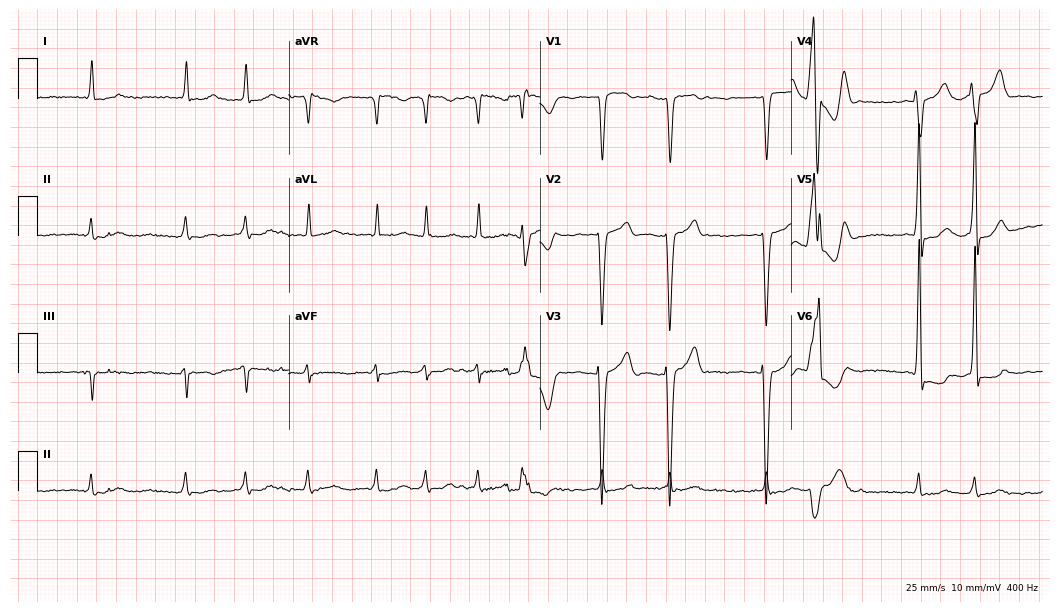
Electrocardiogram (10.2-second recording at 400 Hz), a male patient, 80 years old. Interpretation includes atrial fibrillation.